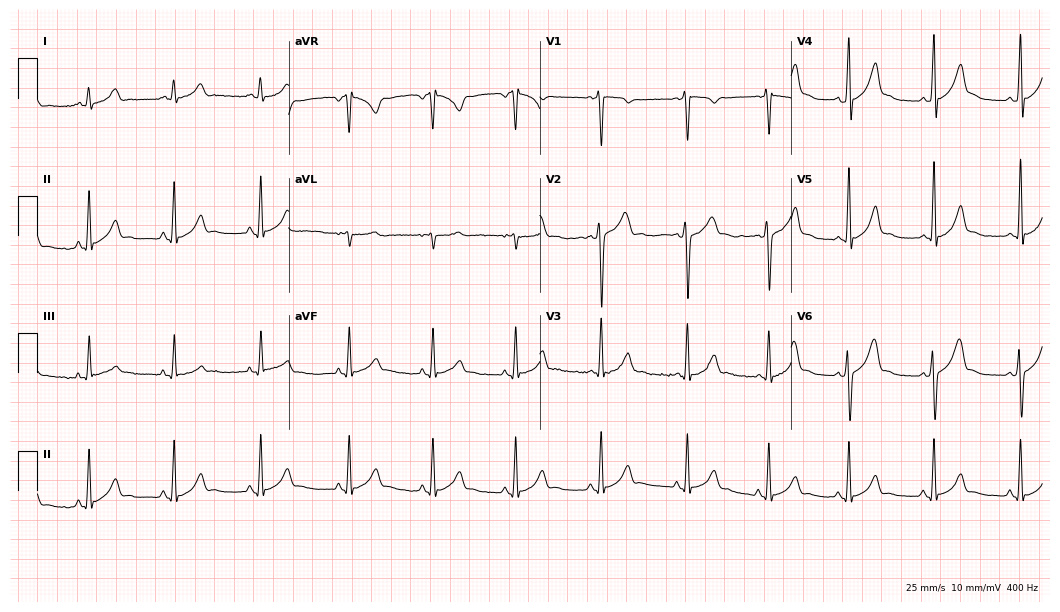
12-lead ECG from a 24-year-old male patient (10.2-second recording at 400 Hz). No first-degree AV block, right bundle branch block (RBBB), left bundle branch block (LBBB), sinus bradycardia, atrial fibrillation (AF) or sinus tachycardia recorded for this tracing. Findings outside these six are not listed.